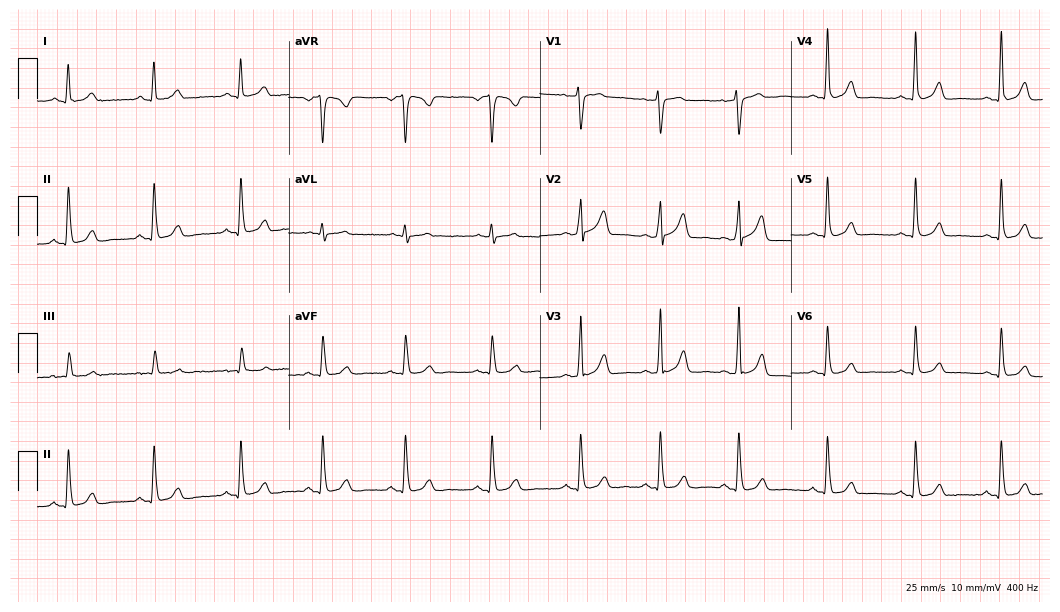
Electrocardiogram, a 35-year-old female. Of the six screened findings (first-degree AV block, right bundle branch block, left bundle branch block, sinus bradycardia, atrial fibrillation, sinus tachycardia), none is recorded. Other findings, if any, are not listed.